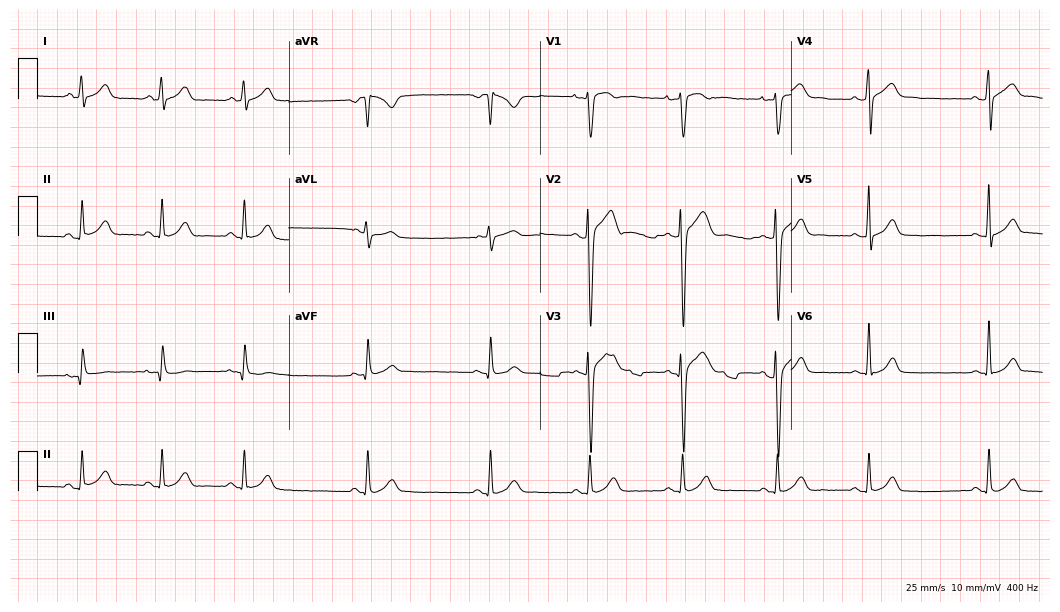
Standard 12-lead ECG recorded from a male patient, 21 years old. Read as a normal ECG.